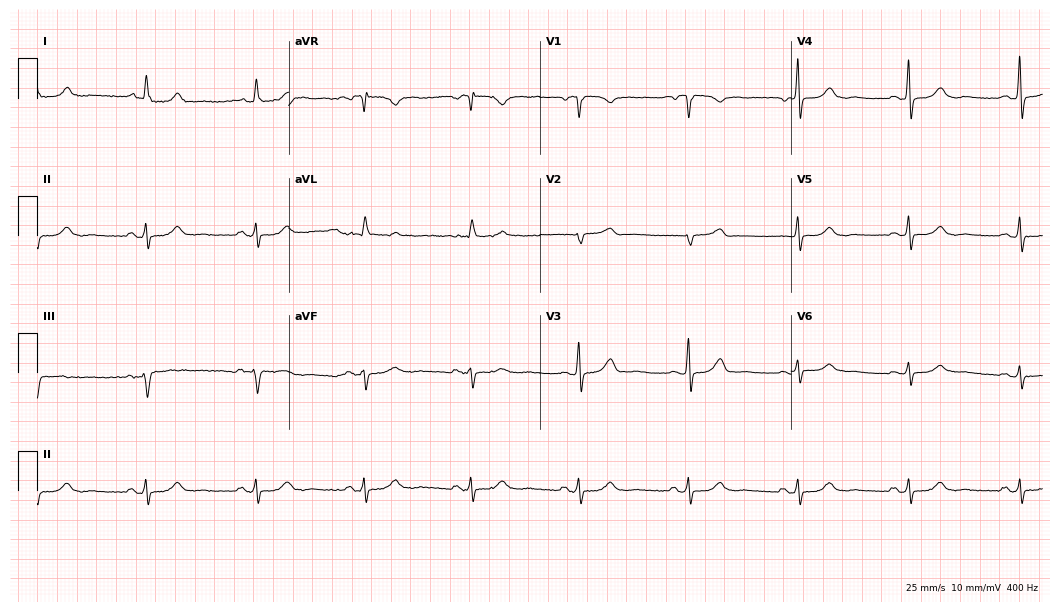
ECG (10.2-second recording at 400 Hz) — a 67-year-old female patient. Screened for six findings — first-degree AV block, right bundle branch block (RBBB), left bundle branch block (LBBB), sinus bradycardia, atrial fibrillation (AF), sinus tachycardia — none is recorded.